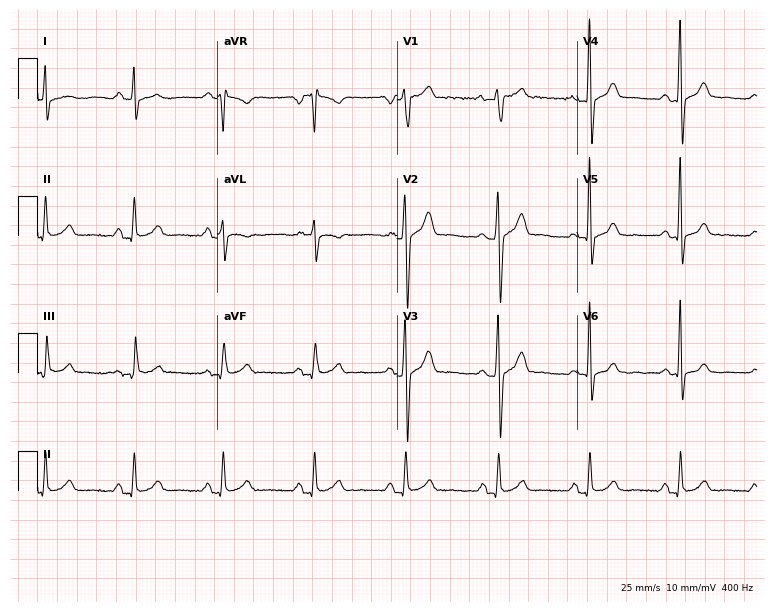
12-lead ECG (7.3-second recording at 400 Hz) from a 25-year-old man. Labelled as a normal ECG.